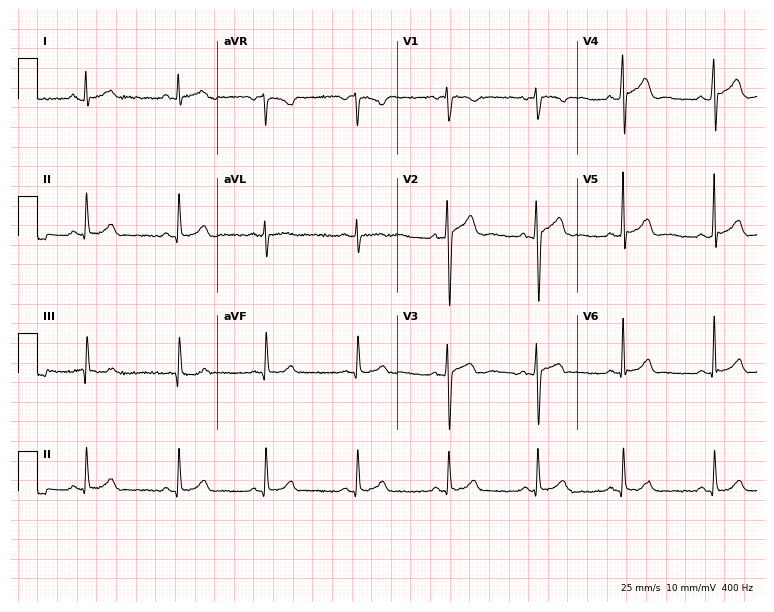
Standard 12-lead ECG recorded from a male, 26 years old. Read as a normal ECG.